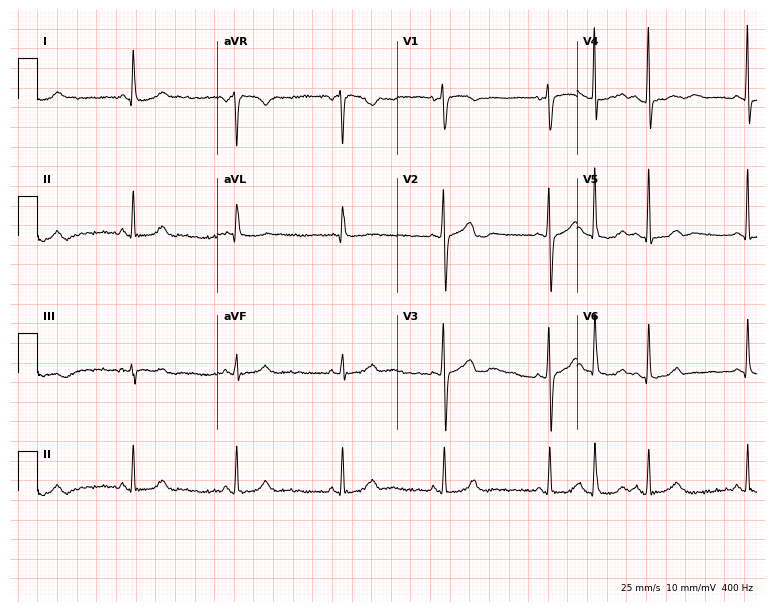
ECG (7.3-second recording at 400 Hz) — a 47-year-old woman. Screened for six findings — first-degree AV block, right bundle branch block (RBBB), left bundle branch block (LBBB), sinus bradycardia, atrial fibrillation (AF), sinus tachycardia — none is recorded. Findings outside these six are not listed.